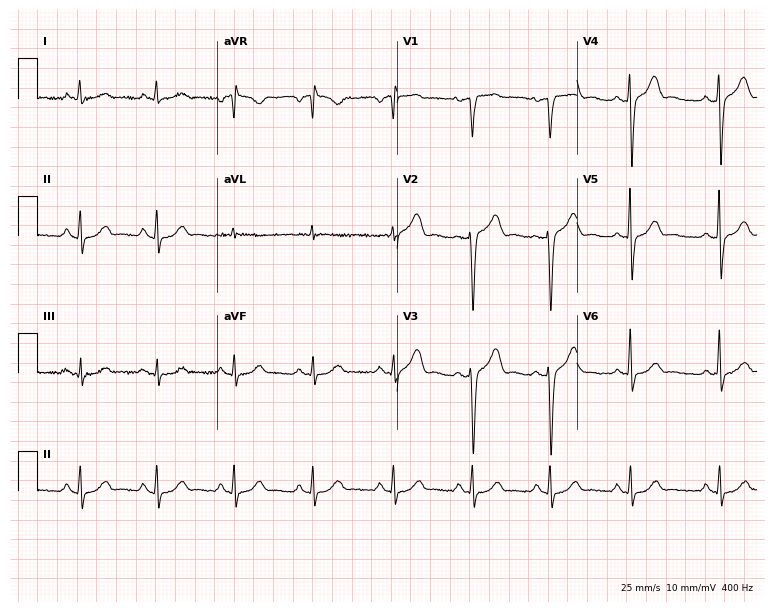
Standard 12-lead ECG recorded from a 55-year-old male (7.3-second recording at 400 Hz). Read as a normal ECG.